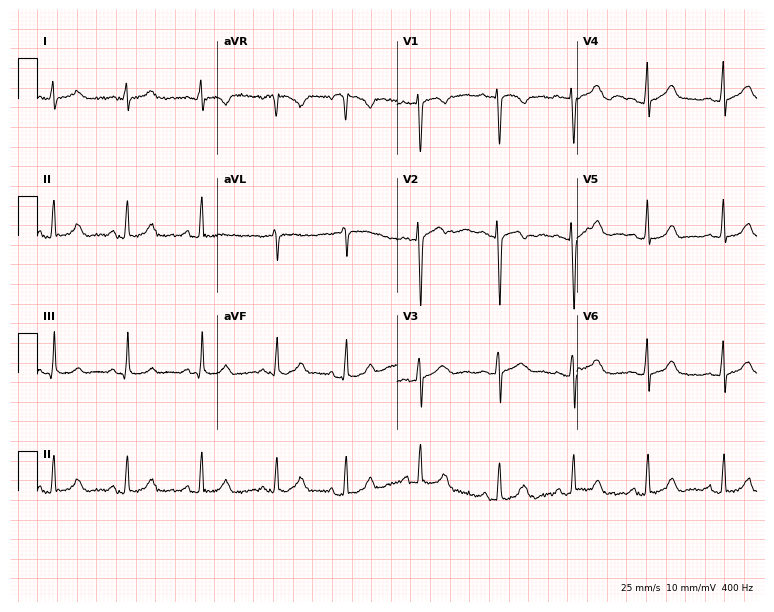
Electrocardiogram (7.3-second recording at 400 Hz), a 26-year-old female patient. Of the six screened findings (first-degree AV block, right bundle branch block (RBBB), left bundle branch block (LBBB), sinus bradycardia, atrial fibrillation (AF), sinus tachycardia), none is recorded.